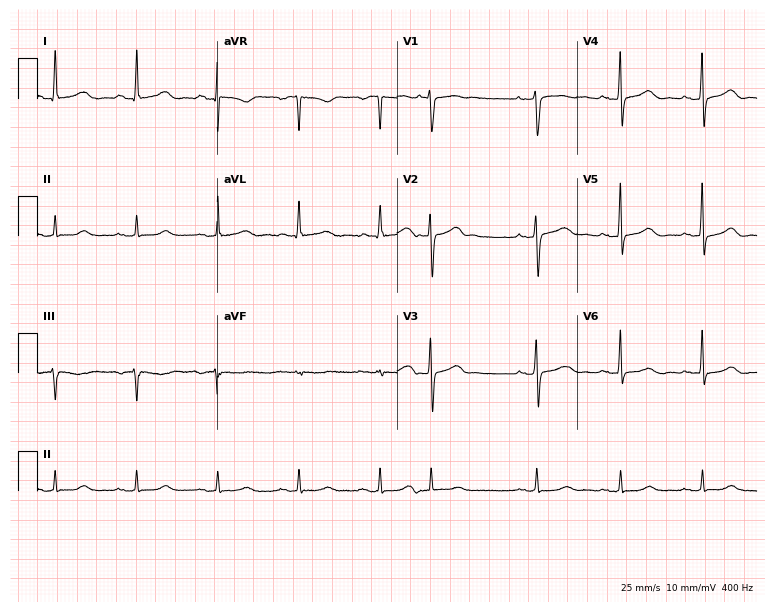
Electrocardiogram, a 75-year-old female. Overall reading on record: normal ECG.